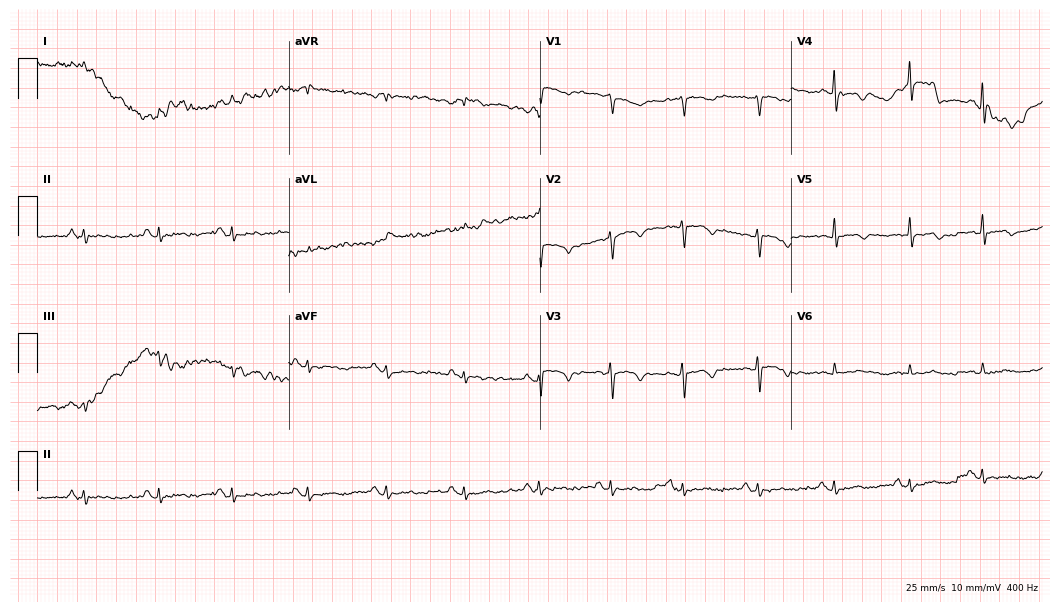
Electrocardiogram (10.2-second recording at 400 Hz), a female patient, 82 years old. Of the six screened findings (first-degree AV block, right bundle branch block (RBBB), left bundle branch block (LBBB), sinus bradycardia, atrial fibrillation (AF), sinus tachycardia), none is recorded.